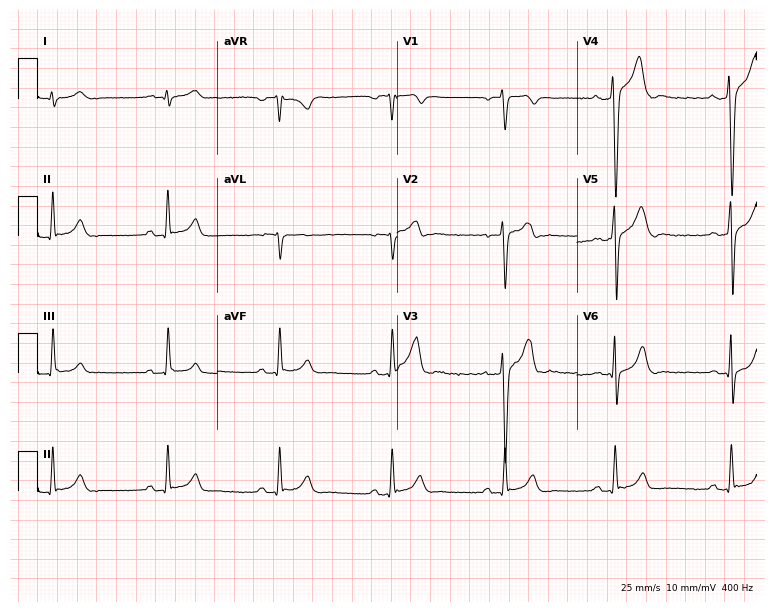
ECG (7.3-second recording at 400 Hz) — a male patient, 23 years old. Screened for six findings — first-degree AV block, right bundle branch block, left bundle branch block, sinus bradycardia, atrial fibrillation, sinus tachycardia — none is recorded.